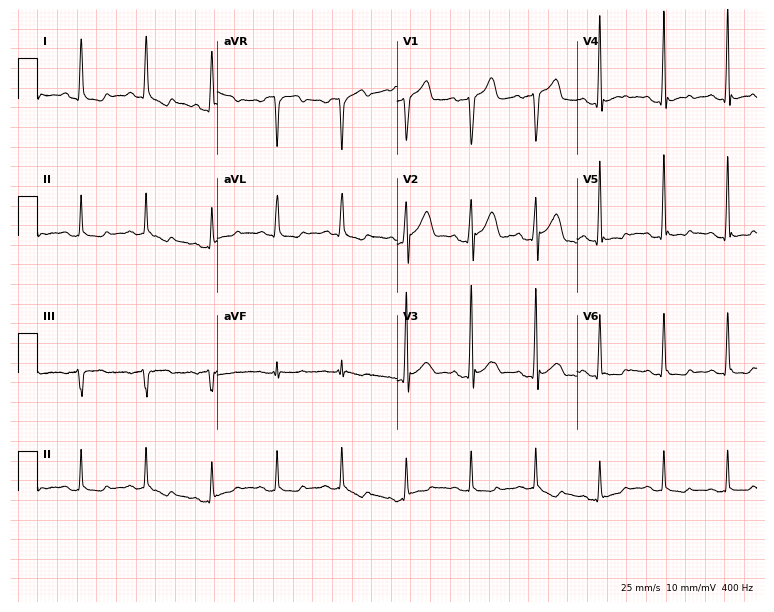
Standard 12-lead ECG recorded from a male, 38 years old (7.3-second recording at 400 Hz). None of these six findings is recorded: first-degree AV block, right bundle branch block (RBBB), left bundle branch block (LBBB), sinus bradycardia, atrial fibrillation (AF), sinus tachycardia.